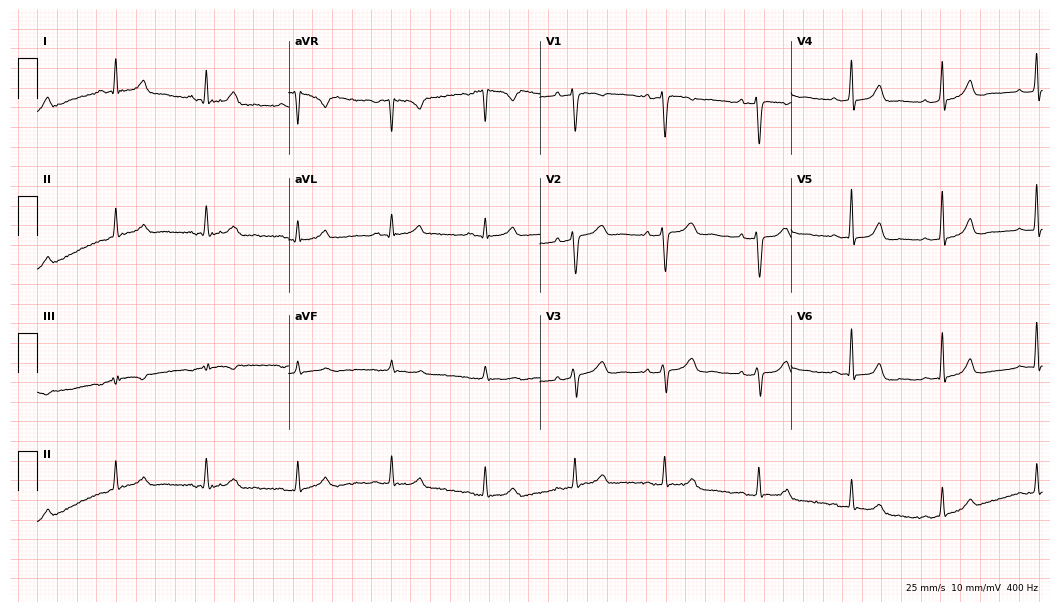
12-lead ECG (10.2-second recording at 400 Hz) from a 38-year-old female. Labelled as a normal ECG.